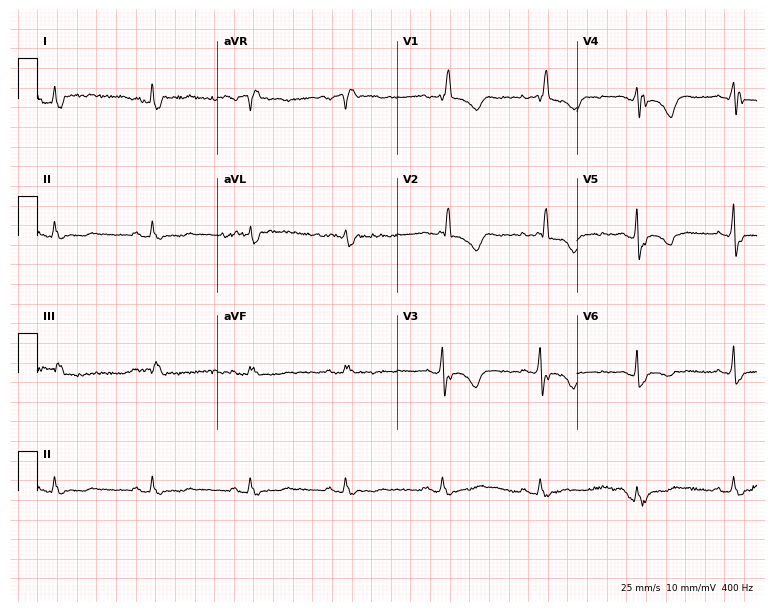
12-lead ECG from a 71-year-old female. Findings include right bundle branch block.